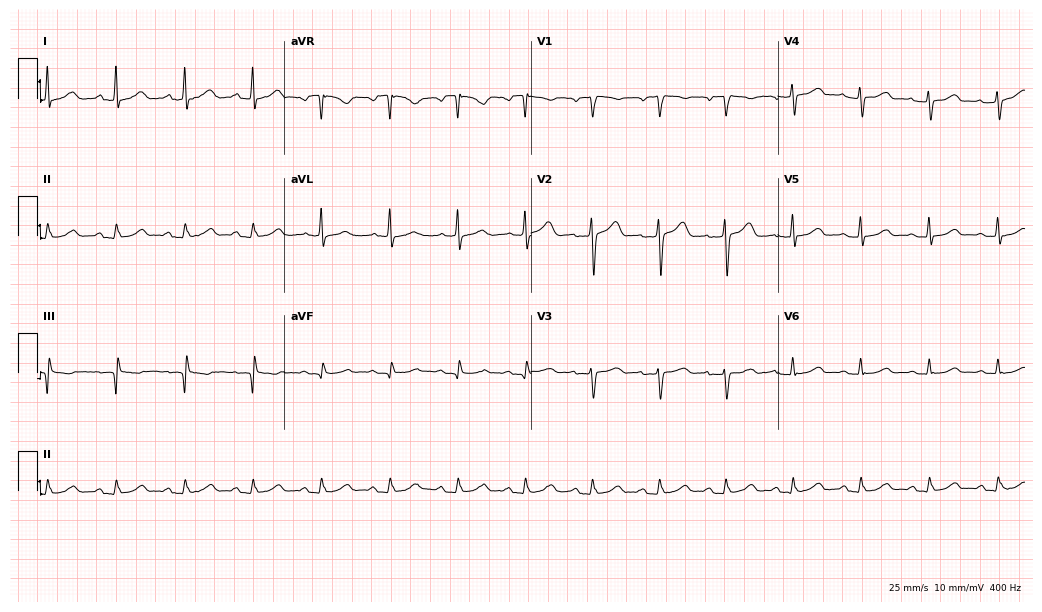
ECG (10.1-second recording at 400 Hz) — a female, 54 years old. Labelled as a normal ECG.